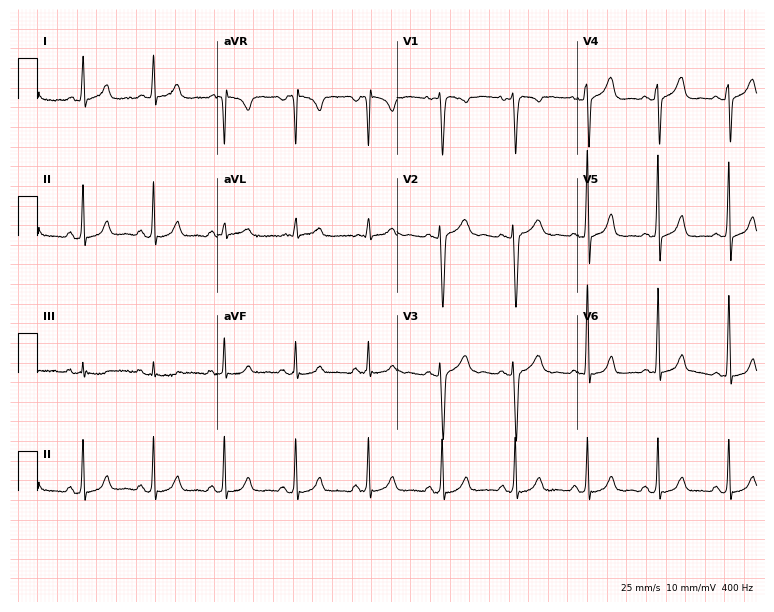
Standard 12-lead ECG recorded from a 46-year-old female. None of these six findings is recorded: first-degree AV block, right bundle branch block, left bundle branch block, sinus bradycardia, atrial fibrillation, sinus tachycardia. Only these six findings were labelled.